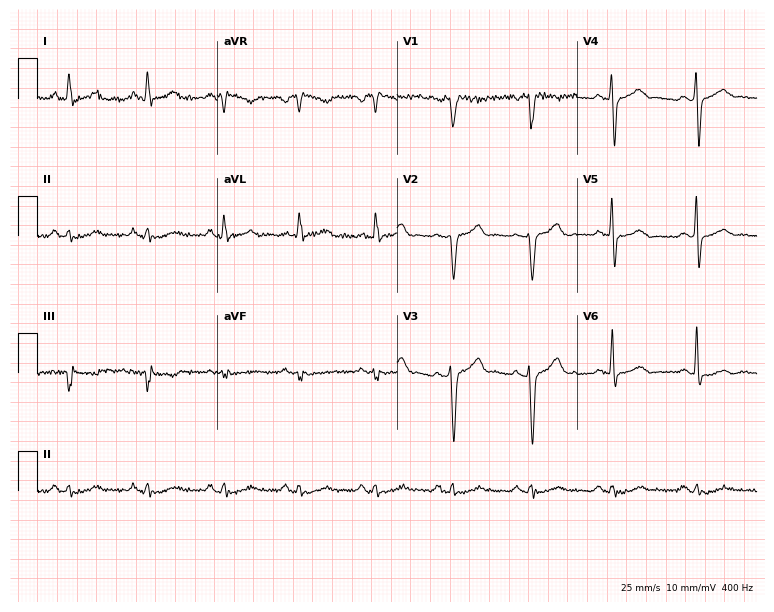
12-lead ECG (7.3-second recording at 400 Hz) from a 49-year-old man. Screened for six findings — first-degree AV block, right bundle branch block, left bundle branch block, sinus bradycardia, atrial fibrillation, sinus tachycardia — none is recorded. Other findings, if any, are not listed.